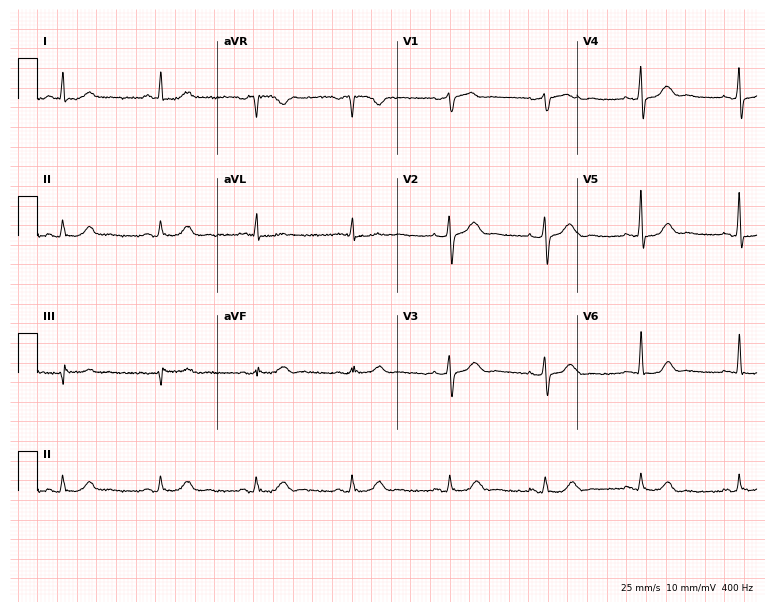
12-lead ECG from a woman, 61 years old (7.3-second recording at 400 Hz). Recorded interpretation: within normal limits.